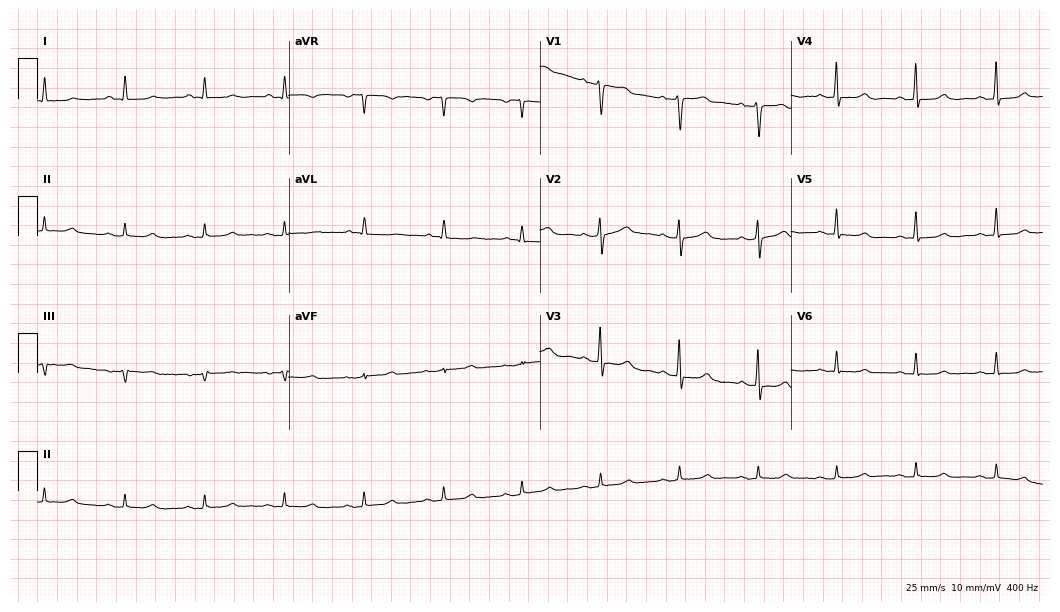
12-lead ECG from a 69-year-old woman. Screened for six findings — first-degree AV block, right bundle branch block, left bundle branch block, sinus bradycardia, atrial fibrillation, sinus tachycardia — none is recorded.